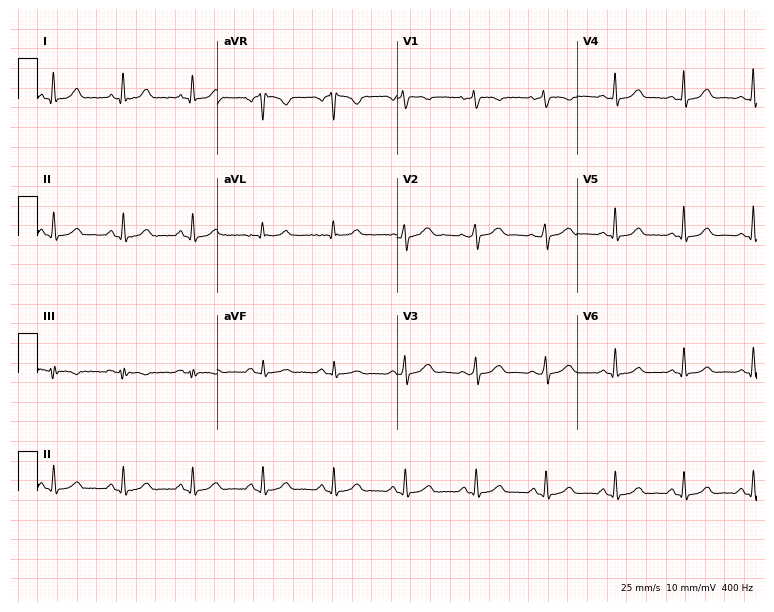
ECG — a 42-year-old female. Screened for six findings — first-degree AV block, right bundle branch block, left bundle branch block, sinus bradycardia, atrial fibrillation, sinus tachycardia — none is recorded.